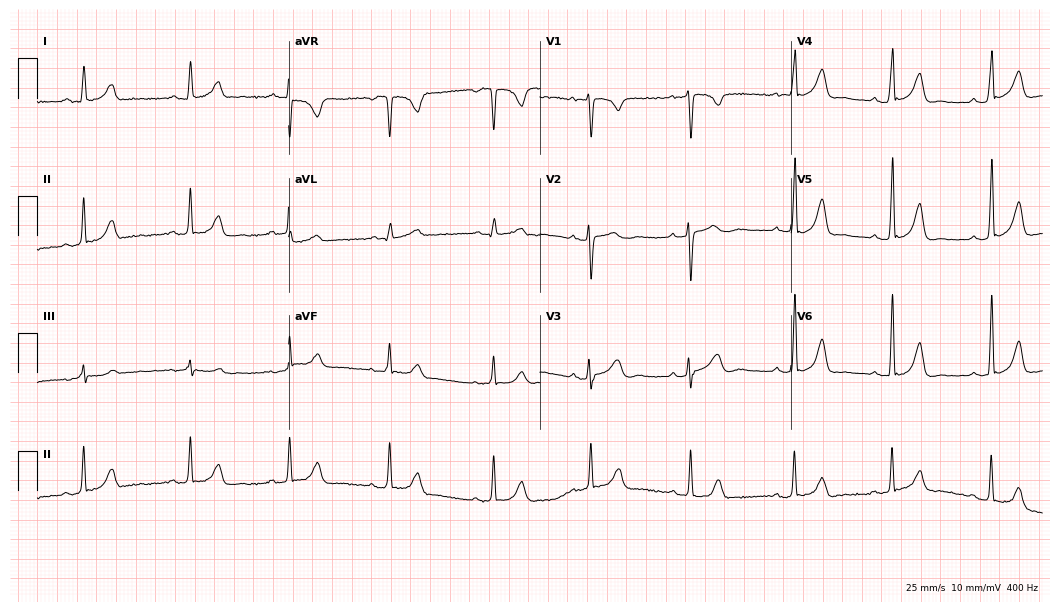
ECG — a 23-year-old female patient. Screened for six findings — first-degree AV block, right bundle branch block (RBBB), left bundle branch block (LBBB), sinus bradycardia, atrial fibrillation (AF), sinus tachycardia — none is recorded. Other findings, if any, are not listed.